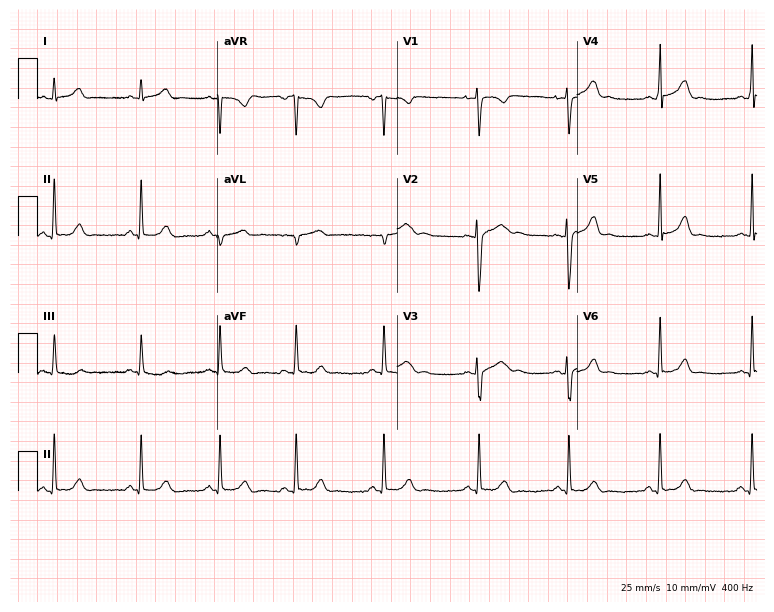
12-lead ECG (7.3-second recording at 400 Hz) from a 23-year-old woman. Labelled as a normal ECG.